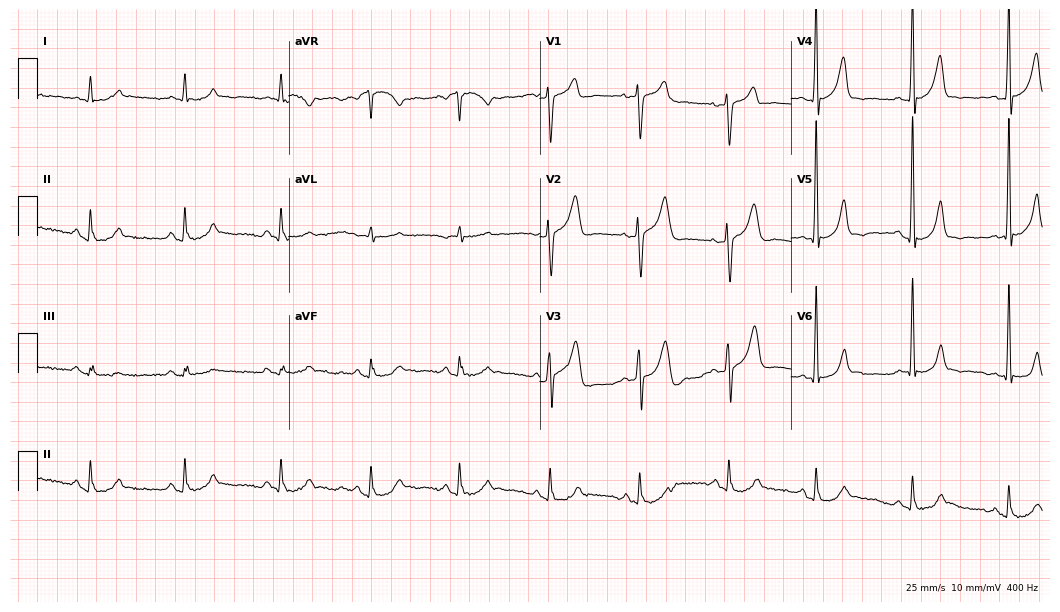
12-lead ECG (10.2-second recording at 400 Hz) from an 80-year-old man. Screened for six findings — first-degree AV block, right bundle branch block, left bundle branch block, sinus bradycardia, atrial fibrillation, sinus tachycardia — none is recorded. Only these six findings were labelled.